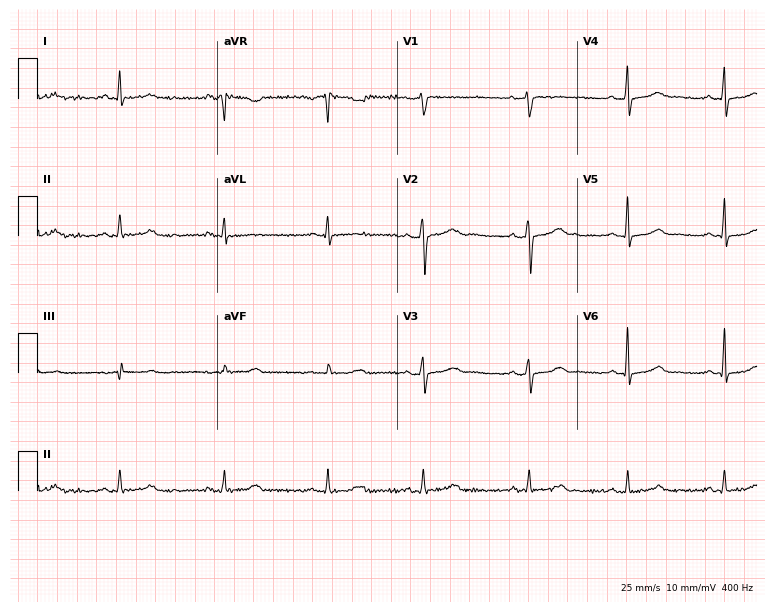
Resting 12-lead electrocardiogram (7.3-second recording at 400 Hz). Patient: a woman, 34 years old. Read as a normal ECG.